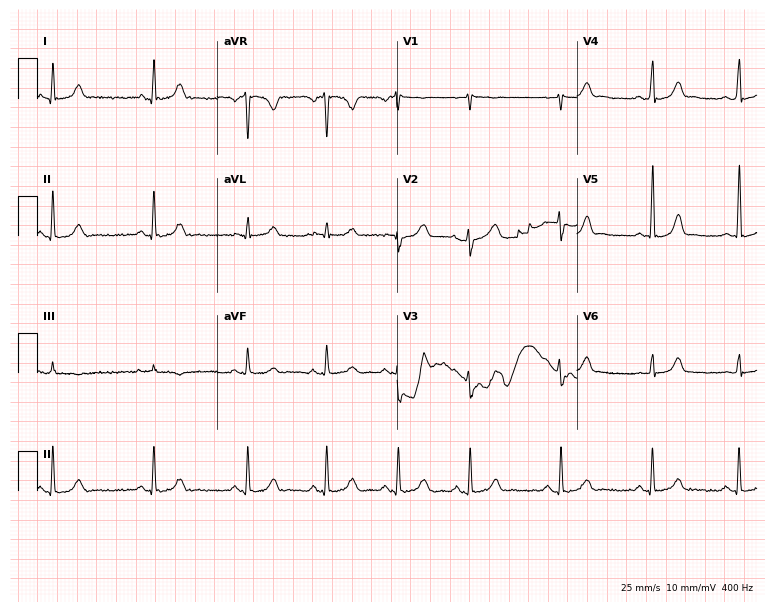
12-lead ECG from a female, 38 years old. No first-degree AV block, right bundle branch block (RBBB), left bundle branch block (LBBB), sinus bradycardia, atrial fibrillation (AF) or sinus tachycardia recorded for this tracing. Only these six findings were labelled.